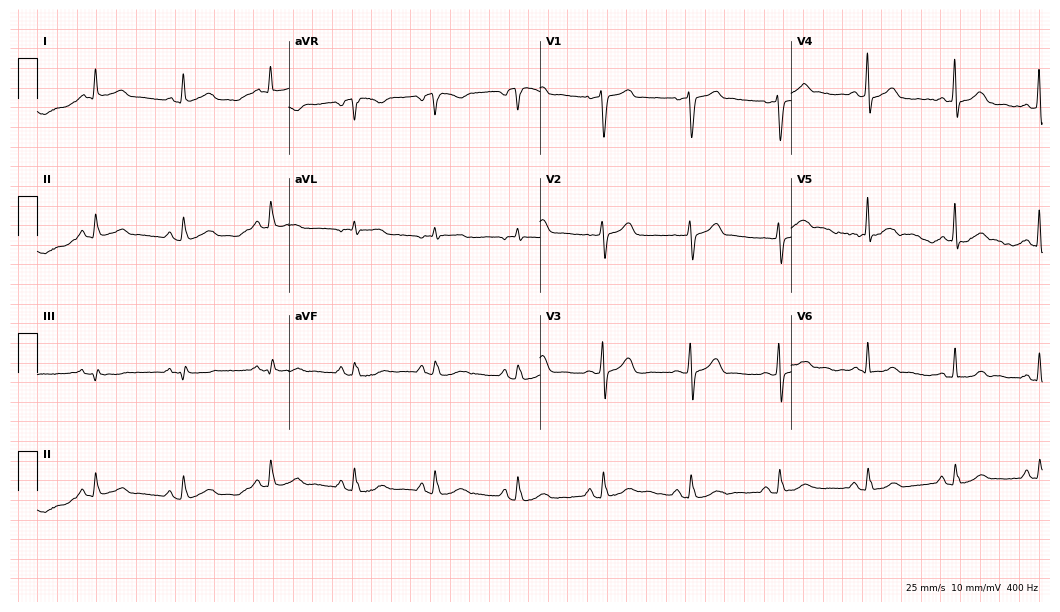
Electrocardiogram (10.2-second recording at 400 Hz), a 71-year-old man. Of the six screened findings (first-degree AV block, right bundle branch block (RBBB), left bundle branch block (LBBB), sinus bradycardia, atrial fibrillation (AF), sinus tachycardia), none is recorded. Other findings, if any, are not listed.